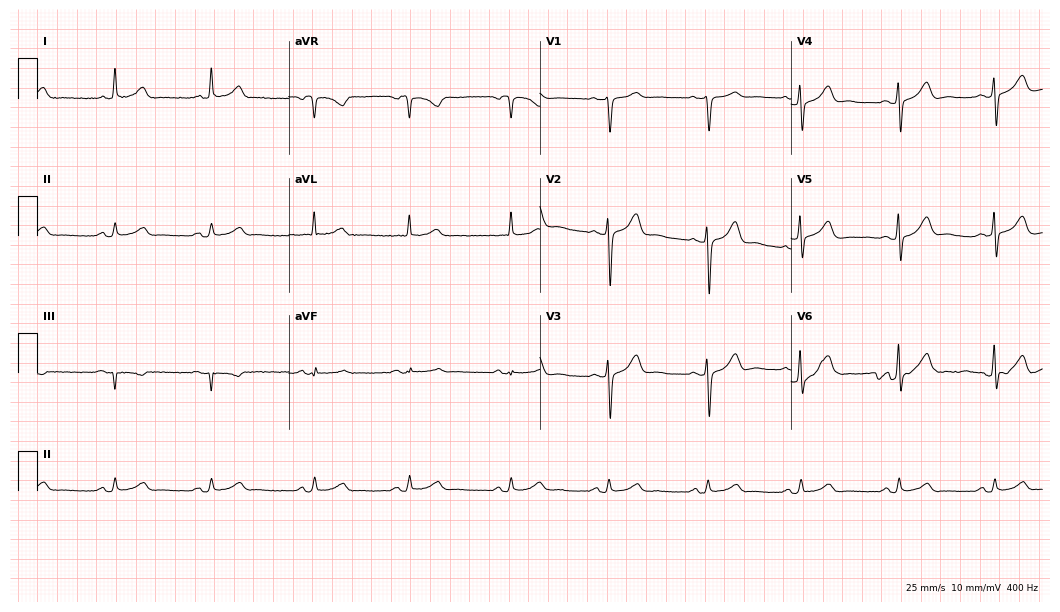
12-lead ECG from a 67-year-old male patient (10.2-second recording at 400 Hz). Recorded interpretation: within normal limits.